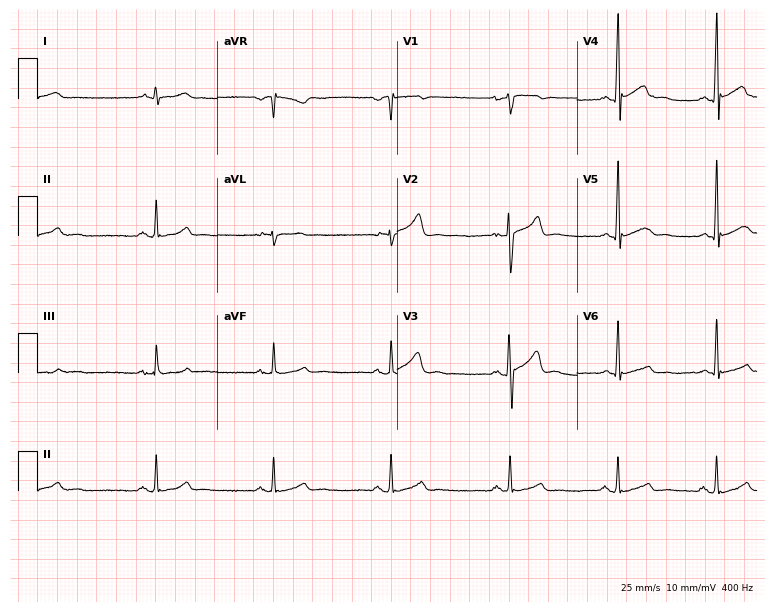
ECG — a man, 27 years old. Labelled as a normal ECG.